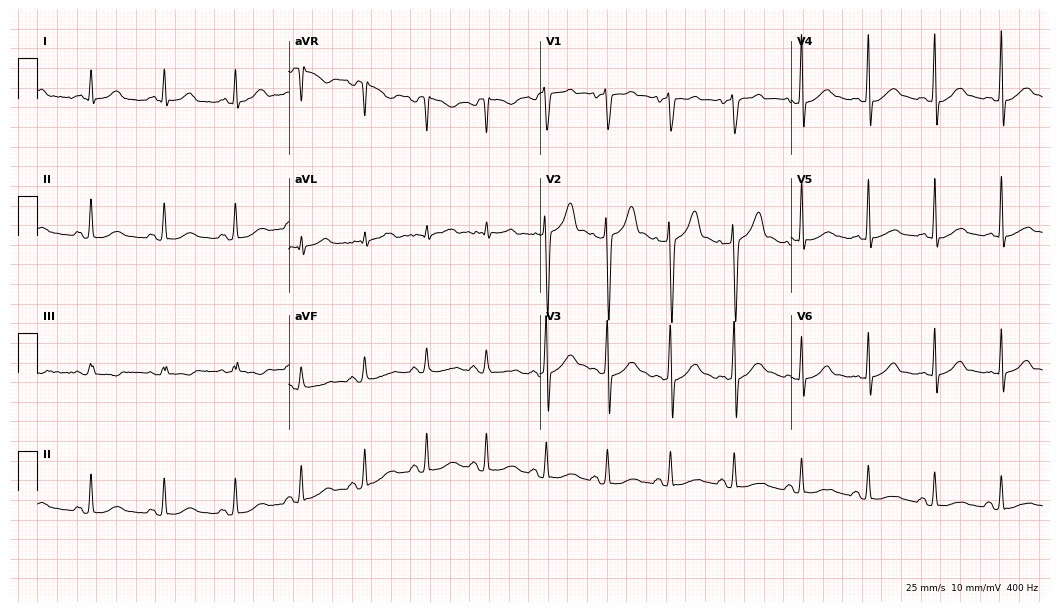
Resting 12-lead electrocardiogram. Patient: a 28-year-old male. Read as a normal ECG.